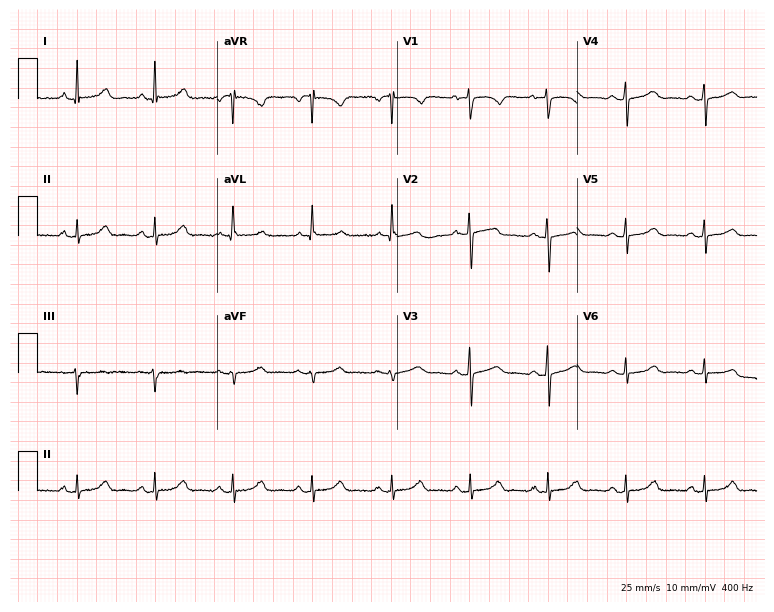
Resting 12-lead electrocardiogram (7.3-second recording at 400 Hz). Patient: a 66-year-old female. None of these six findings is recorded: first-degree AV block, right bundle branch block, left bundle branch block, sinus bradycardia, atrial fibrillation, sinus tachycardia.